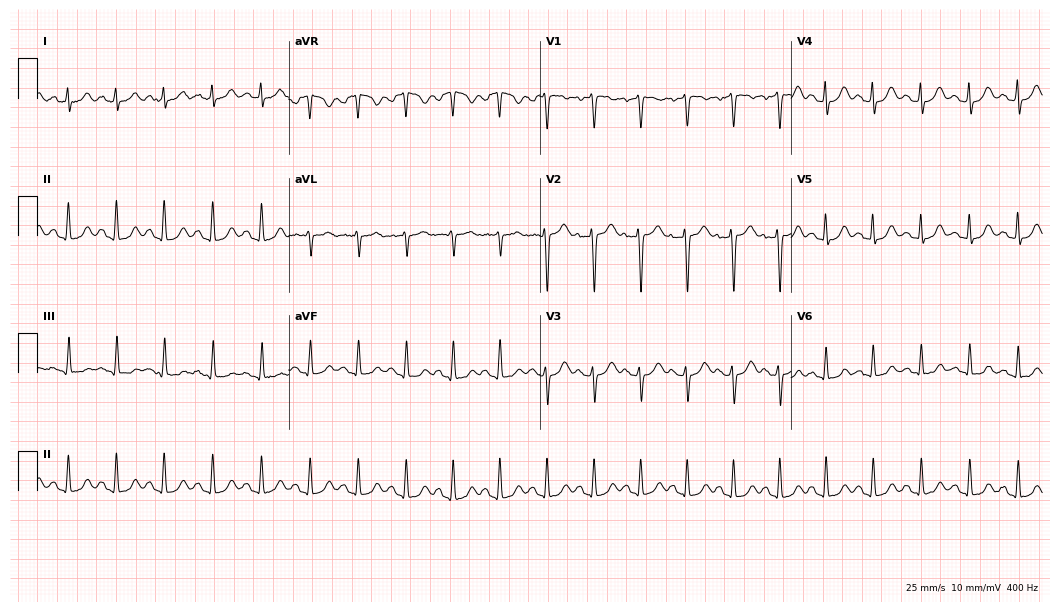
ECG — a 29-year-old woman. Findings include sinus tachycardia (a sinus rate of 100 beats per minute or more).